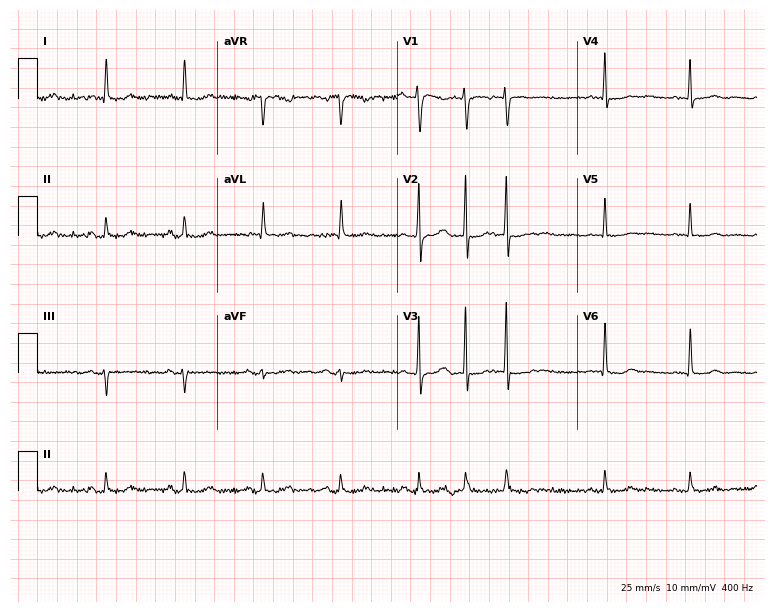
Standard 12-lead ECG recorded from a female, 66 years old (7.3-second recording at 400 Hz). None of these six findings is recorded: first-degree AV block, right bundle branch block (RBBB), left bundle branch block (LBBB), sinus bradycardia, atrial fibrillation (AF), sinus tachycardia.